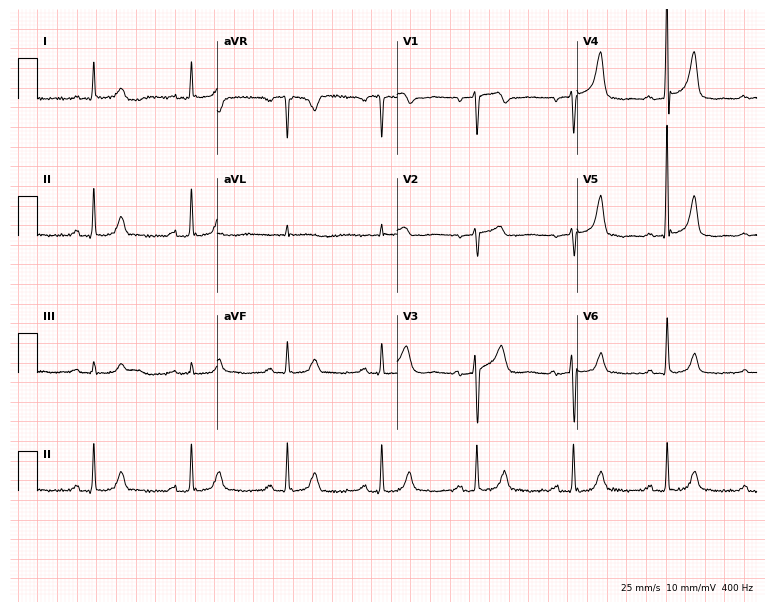
Electrocardiogram (7.3-second recording at 400 Hz), a man, 55 years old. Of the six screened findings (first-degree AV block, right bundle branch block, left bundle branch block, sinus bradycardia, atrial fibrillation, sinus tachycardia), none is recorded.